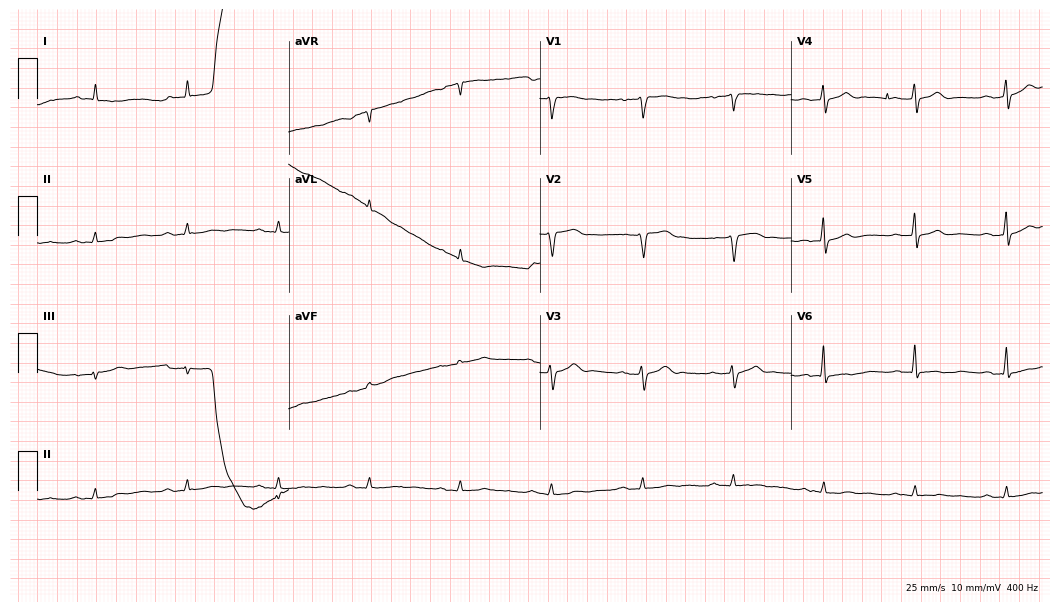
Standard 12-lead ECG recorded from a 68-year-old male (10.2-second recording at 400 Hz). None of these six findings is recorded: first-degree AV block, right bundle branch block, left bundle branch block, sinus bradycardia, atrial fibrillation, sinus tachycardia. Findings outside these six are not listed.